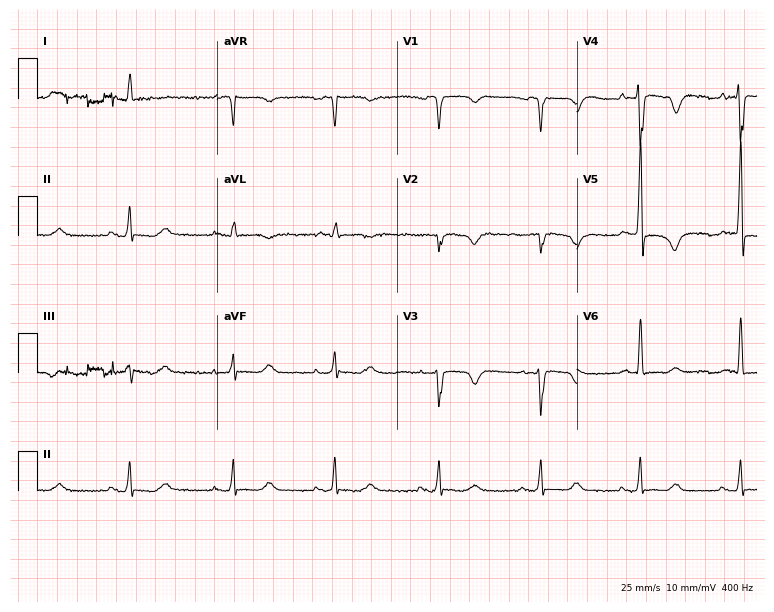
Resting 12-lead electrocardiogram. Patient: a male, 81 years old. None of these six findings is recorded: first-degree AV block, right bundle branch block, left bundle branch block, sinus bradycardia, atrial fibrillation, sinus tachycardia. Only these six findings were labelled.